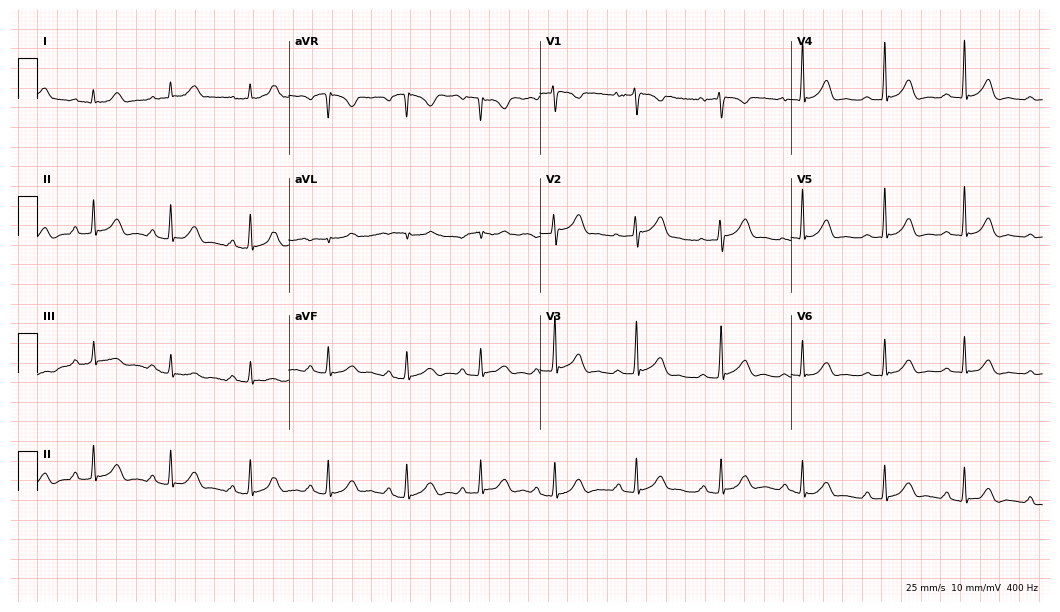
Resting 12-lead electrocardiogram (10.2-second recording at 400 Hz). Patient: a 23-year-old woman. Read as a normal ECG.